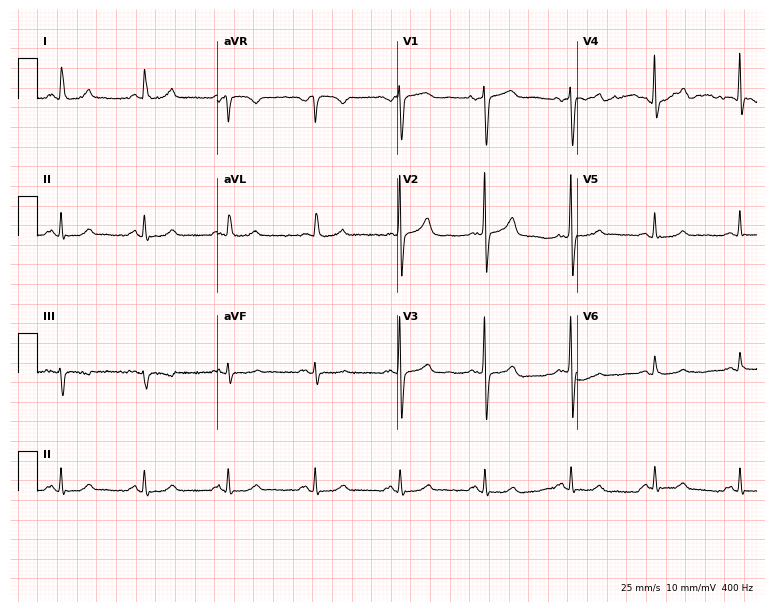
Electrocardiogram, a 68-year-old woman. Overall reading on record: normal ECG.